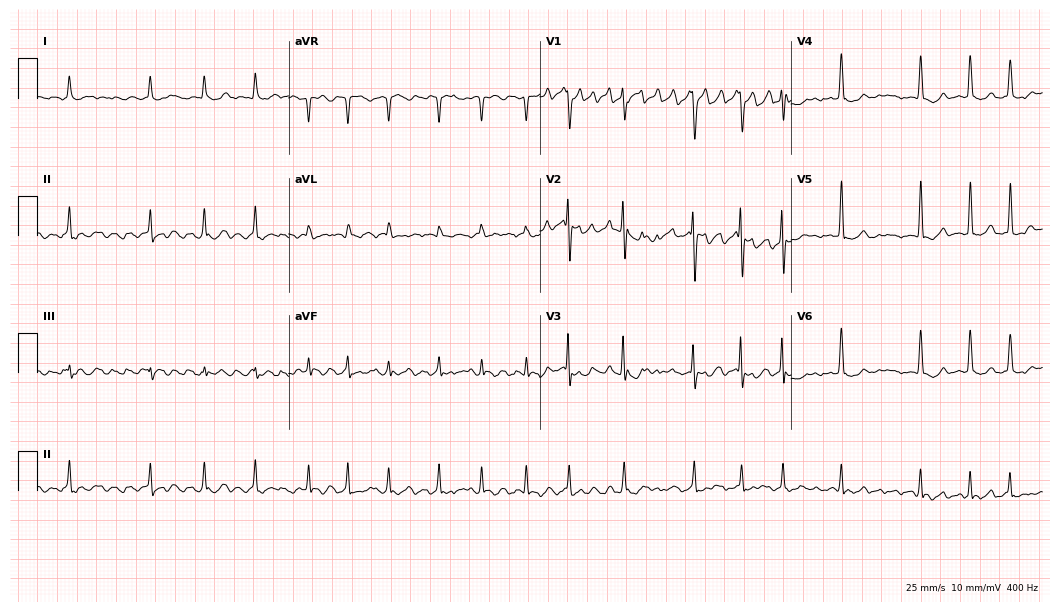
Resting 12-lead electrocardiogram (10.2-second recording at 400 Hz). Patient: a female, 50 years old. The tracing shows atrial fibrillation.